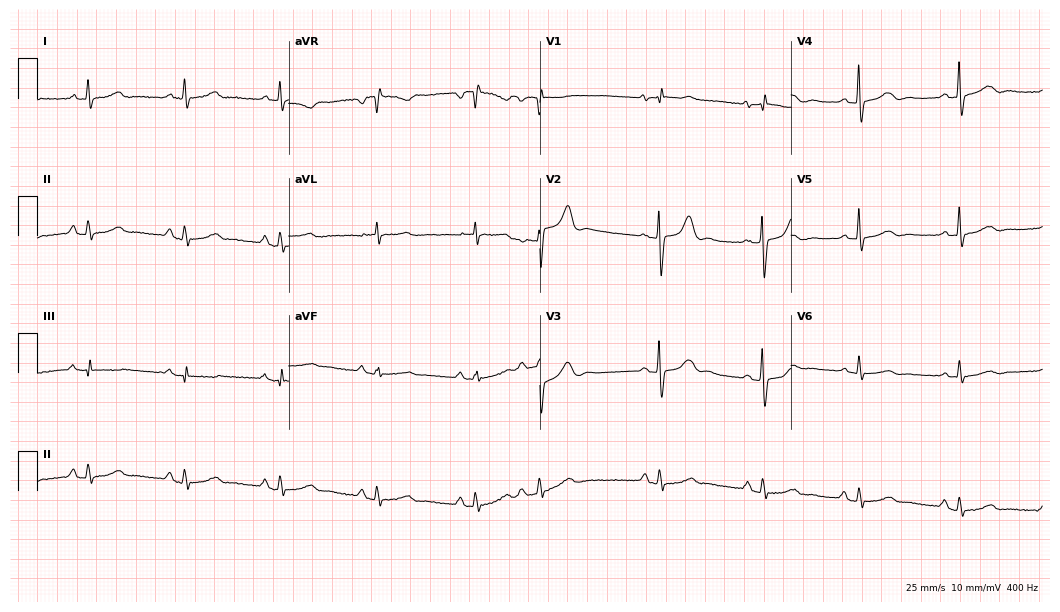
Resting 12-lead electrocardiogram. Patient: a female, 66 years old. None of these six findings is recorded: first-degree AV block, right bundle branch block (RBBB), left bundle branch block (LBBB), sinus bradycardia, atrial fibrillation (AF), sinus tachycardia. Other findings, if any, are not listed.